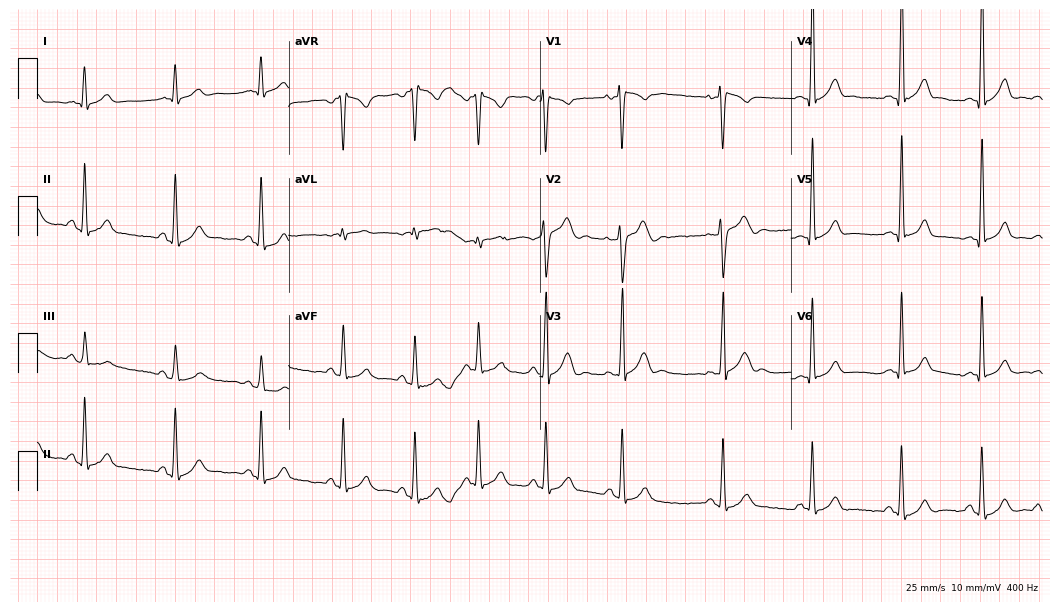
12-lead ECG from a 19-year-old male patient. Recorded interpretation: within normal limits.